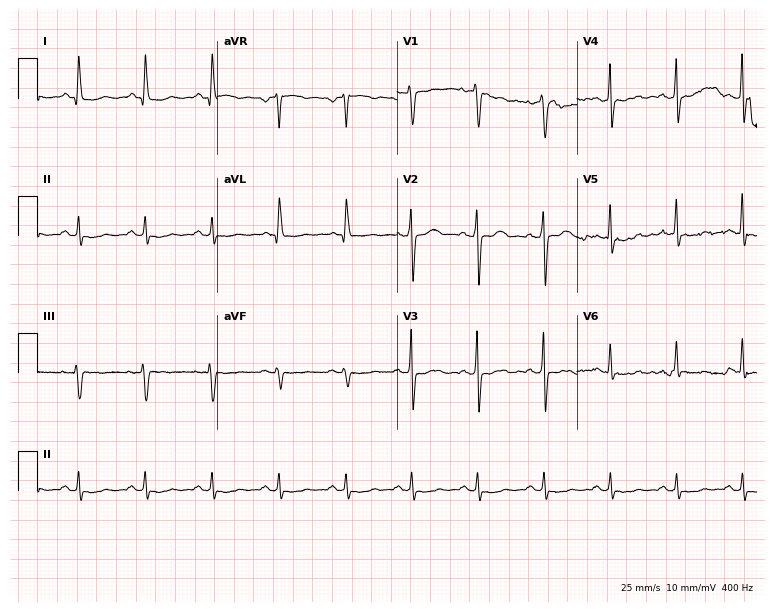
12-lead ECG from a 51-year-old male patient. No first-degree AV block, right bundle branch block, left bundle branch block, sinus bradycardia, atrial fibrillation or sinus tachycardia recorded for this tracing. Findings outside these six are not listed.